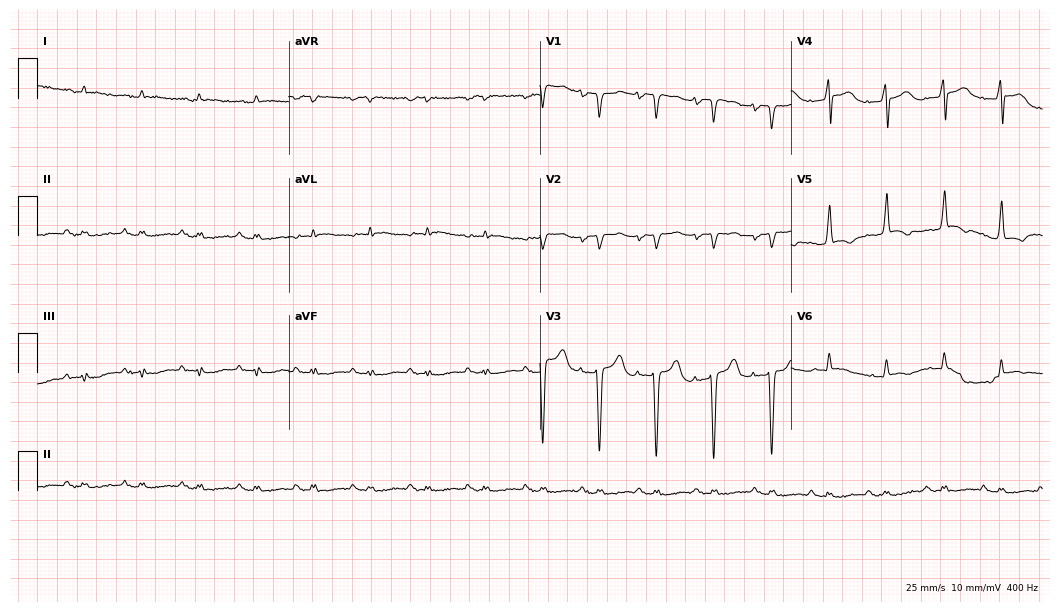
12-lead ECG (10.2-second recording at 400 Hz) from a man, 64 years old. Findings include sinus tachycardia (a sinus rate of 100 beats per minute or more).